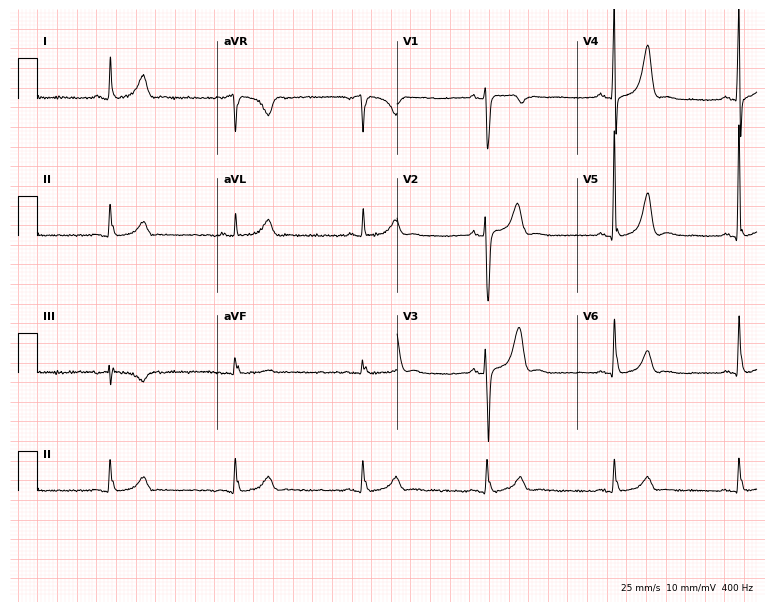
12-lead ECG from a 63-year-old man. Recorded interpretation: within normal limits.